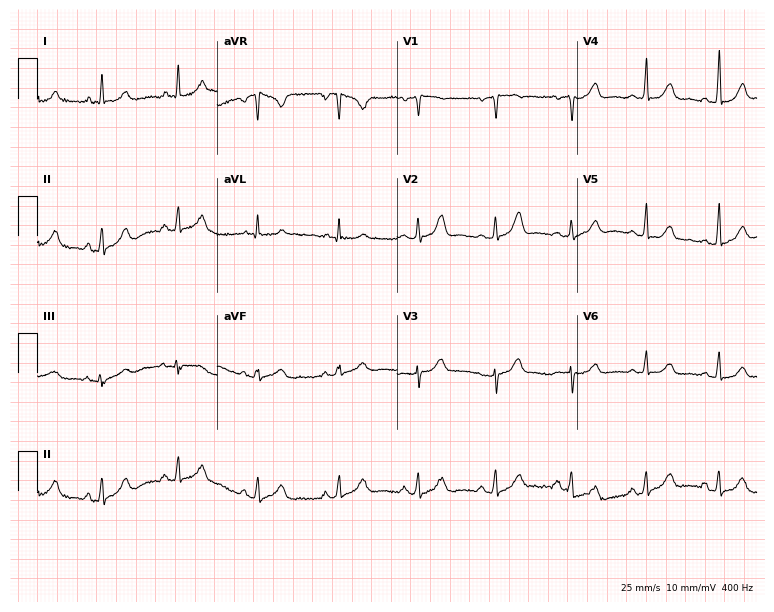
12-lead ECG (7.3-second recording at 400 Hz) from a woman, 51 years old. Screened for six findings — first-degree AV block, right bundle branch block (RBBB), left bundle branch block (LBBB), sinus bradycardia, atrial fibrillation (AF), sinus tachycardia — none is recorded. Only these six findings were labelled.